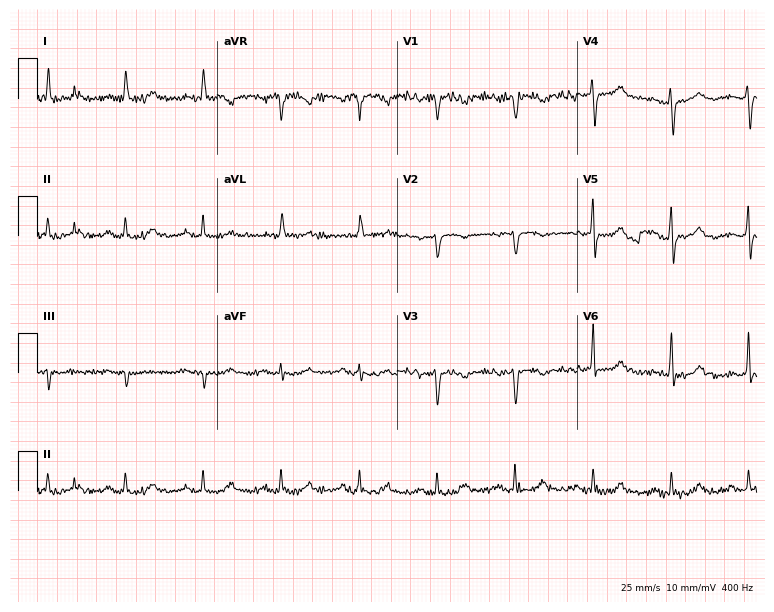
Electrocardiogram (7.3-second recording at 400 Hz), an 80-year-old female patient. Of the six screened findings (first-degree AV block, right bundle branch block (RBBB), left bundle branch block (LBBB), sinus bradycardia, atrial fibrillation (AF), sinus tachycardia), none is recorded.